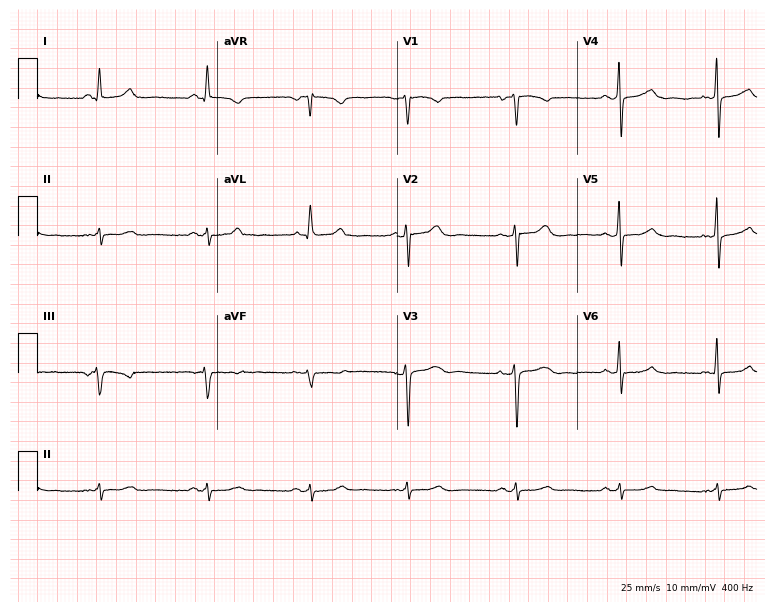
12-lead ECG (7.3-second recording at 400 Hz) from a female patient, 51 years old. Screened for six findings — first-degree AV block, right bundle branch block, left bundle branch block, sinus bradycardia, atrial fibrillation, sinus tachycardia — none is recorded. Findings outside these six are not listed.